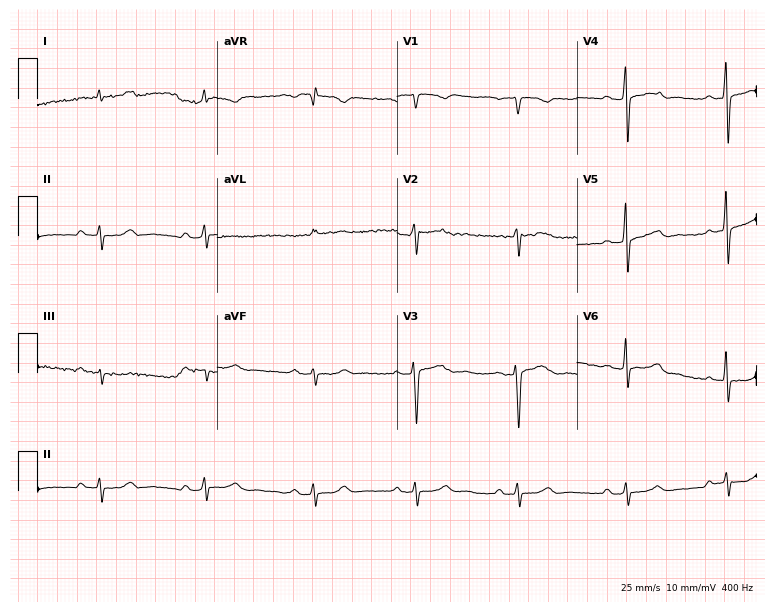
ECG — a 41-year-old female patient. Findings include first-degree AV block.